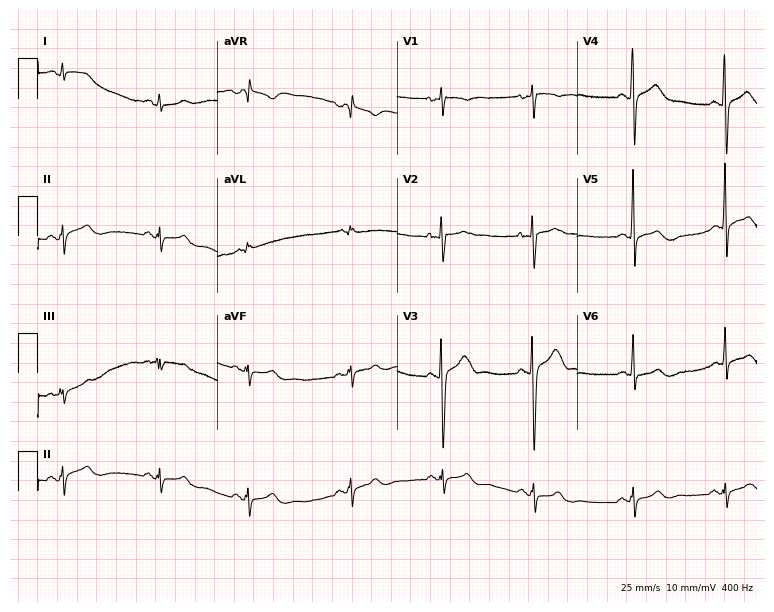
ECG — a 39-year-old female. Labelled as a normal ECG.